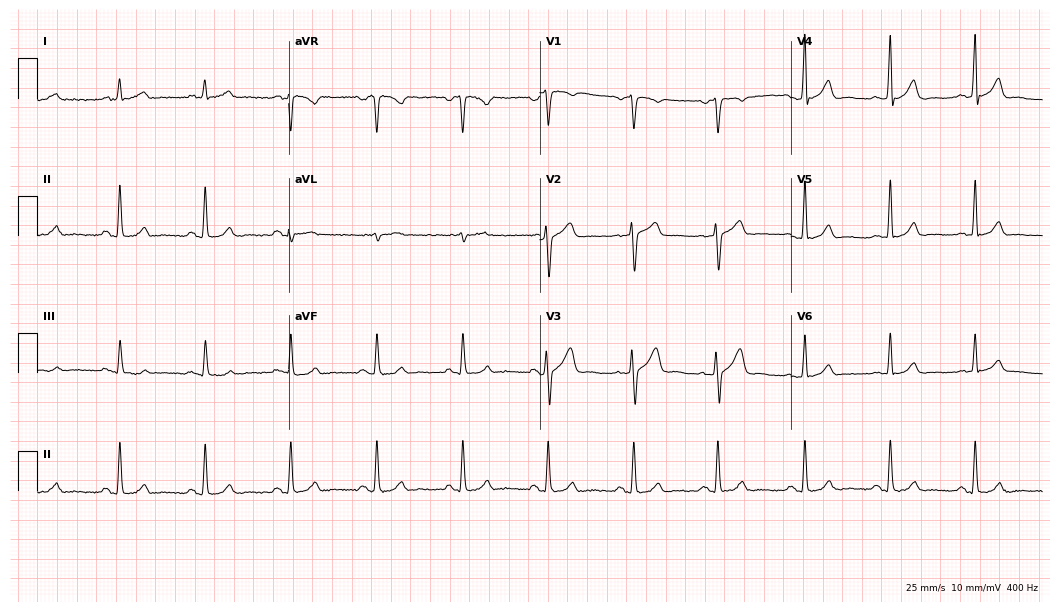
Electrocardiogram (10.2-second recording at 400 Hz), a 52-year-old male. Overall reading on record: normal ECG.